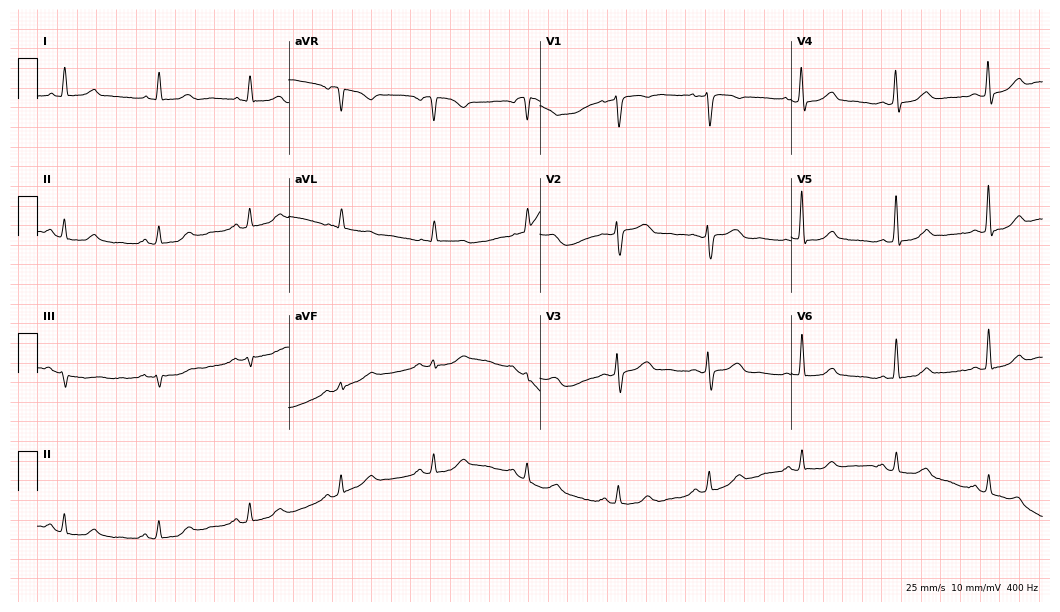
12-lead ECG from a 52-year-old female patient. Recorded interpretation: within normal limits.